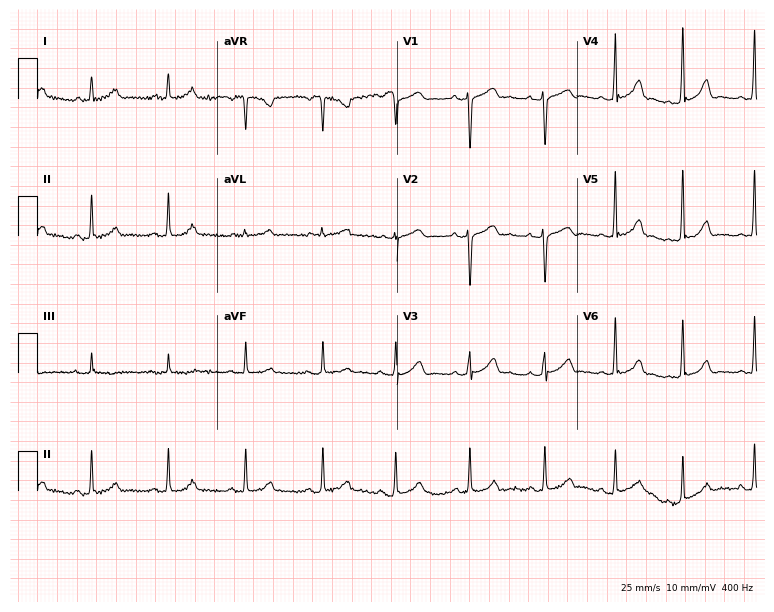
12-lead ECG from a 35-year-old female. Labelled as a normal ECG.